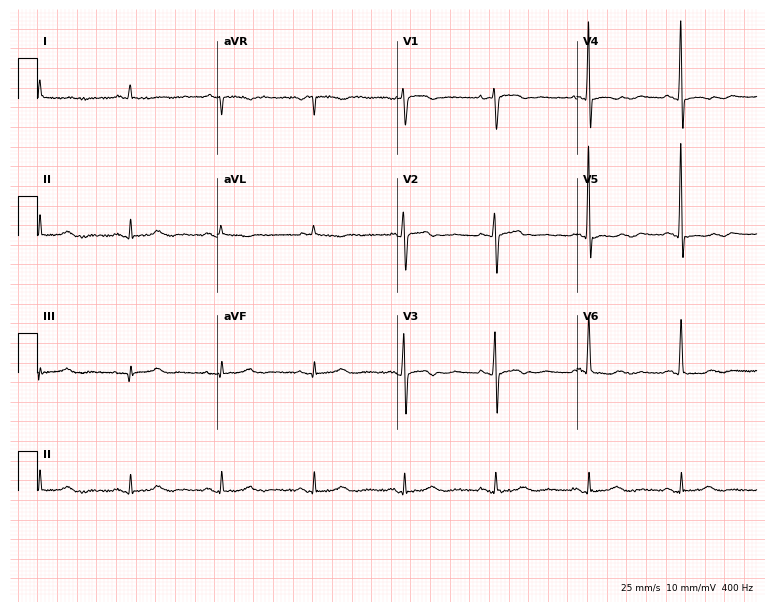
ECG (7.3-second recording at 400 Hz) — a 74-year-old female. Screened for six findings — first-degree AV block, right bundle branch block, left bundle branch block, sinus bradycardia, atrial fibrillation, sinus tachycardia — none is recorded.